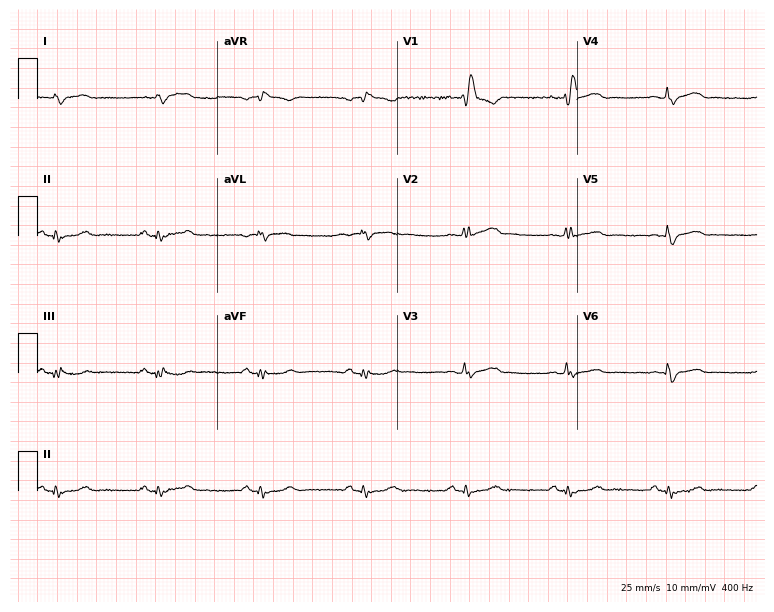
Resting 12-lead electrocardiogram. Patient: a 60-year-old man. None of these six findings is recorded: first-degree AV block, right bundle branch block, left bundle branch block, sinus bradycardia, atrial fibrillation, sinus tachycardia.